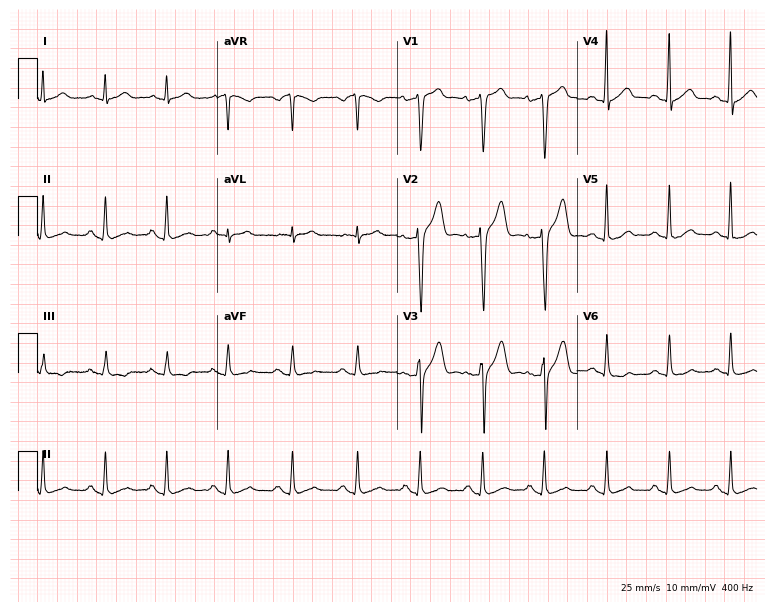
12-lead ECG from a man, 66 years old. Labelled as a normal ECG.